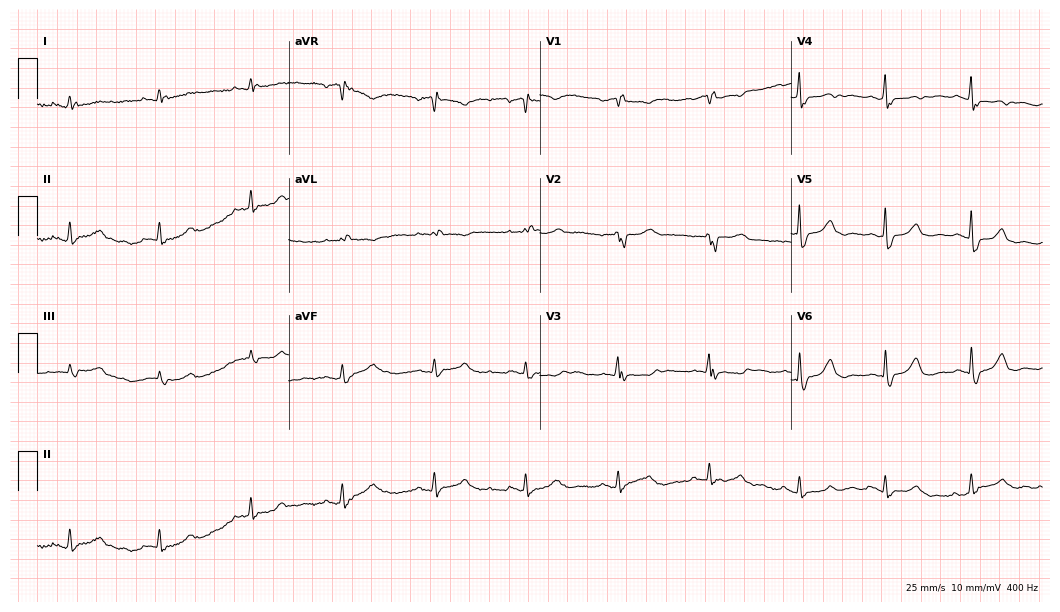
Resting 12-lead electrocardiogram (10.2-second recording at 400 Hz). Patient: a woman, 61 years old. The tracing shows right bundle branch block.